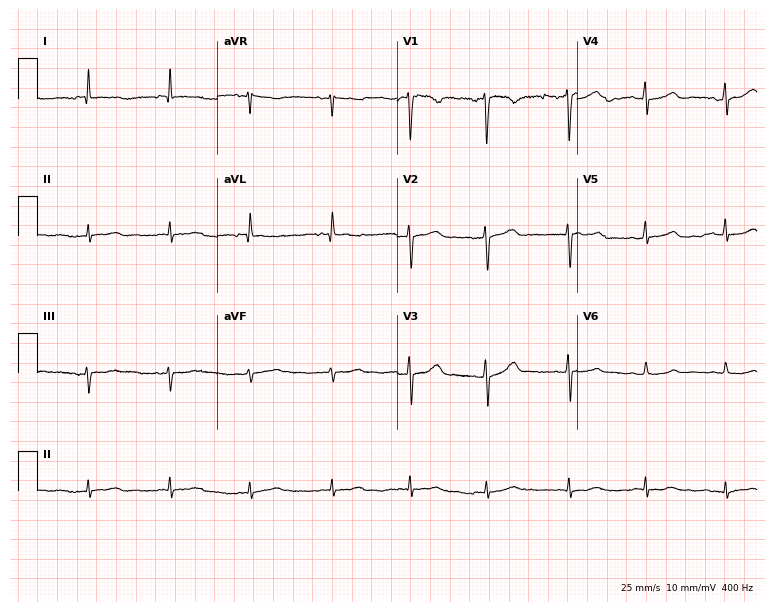
Electrocardiogram, a 19-year-old woman. Of the six screened findings (first-degree AV block, right bundle branch block, left bundle branch block, sinus bradycardia, atrial fibrillation, sinus tachycardia), none is recorded. Only these six findings were labelled.